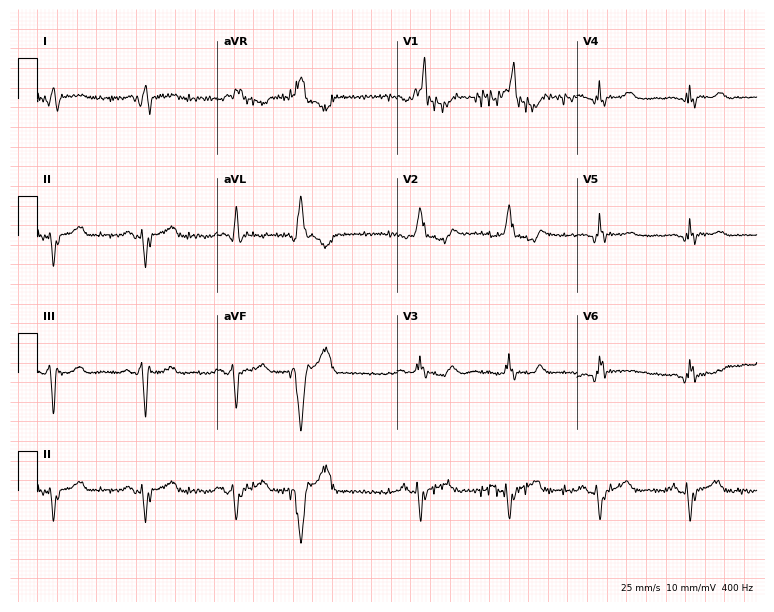
Standard 12-lead ECG recorded from a female, 79 years old (7.3-second recording at 400 Hz). The tracing shows right bundle branch block.